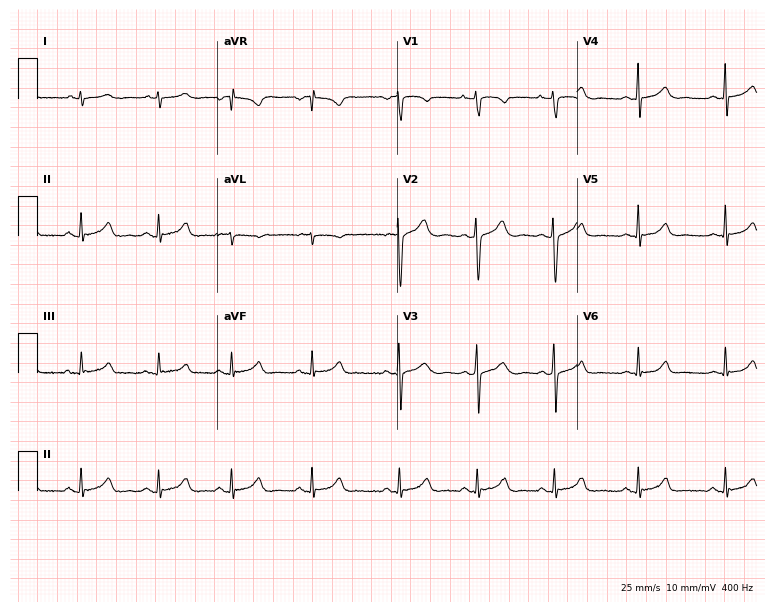
12-lead ECG from a 21-year-old female patient. Labelled as a normal ECG.